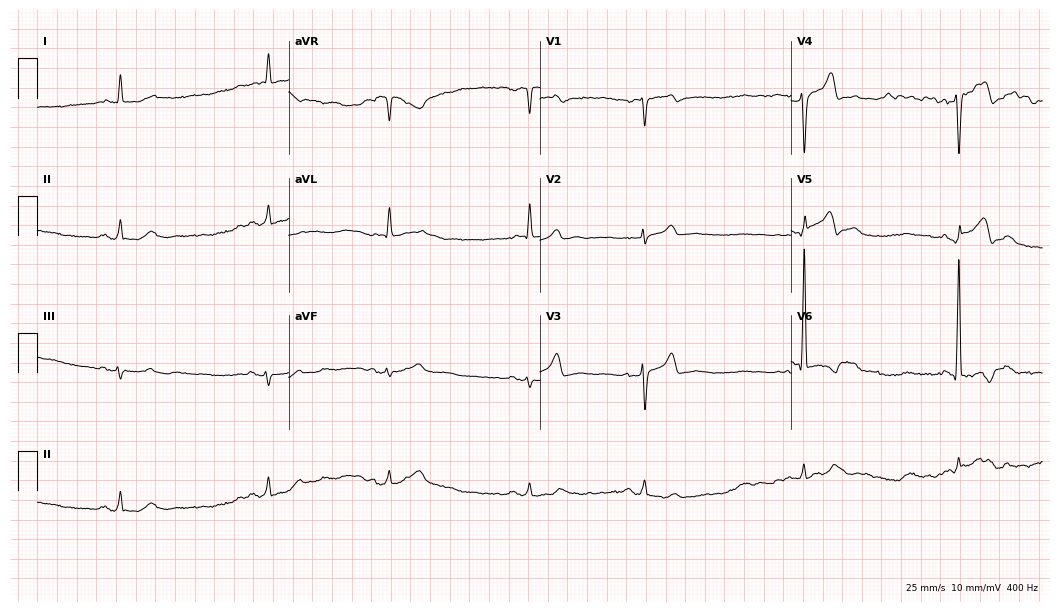
12-lead ECG (10.2-second recording at 400 Hz) from a man, 69 years old. Screened for six findings — first-degree AV block, right bundle branch block, left bundle branch block, sinus bradycardia, atrial fibrillation, sinus tachycardia — none is recorded.